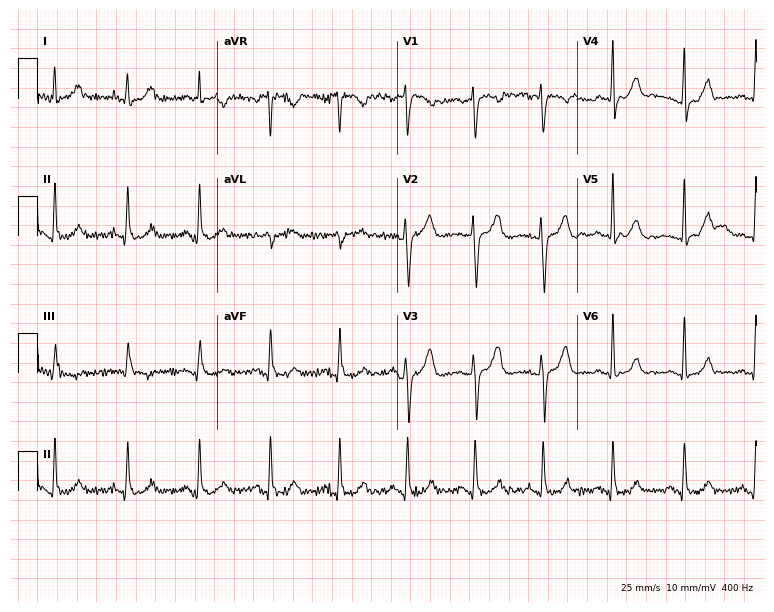
Resting 12-lead electrocardiogram (7.3-second recording at 400 Hz). Patient: a 49-year-old female. None of these six findings is recorded: first-degree AV block, right bundle branch block, left bundle branch block, sinus bradycardia, atrial fibrillation, sinus tachycardia.